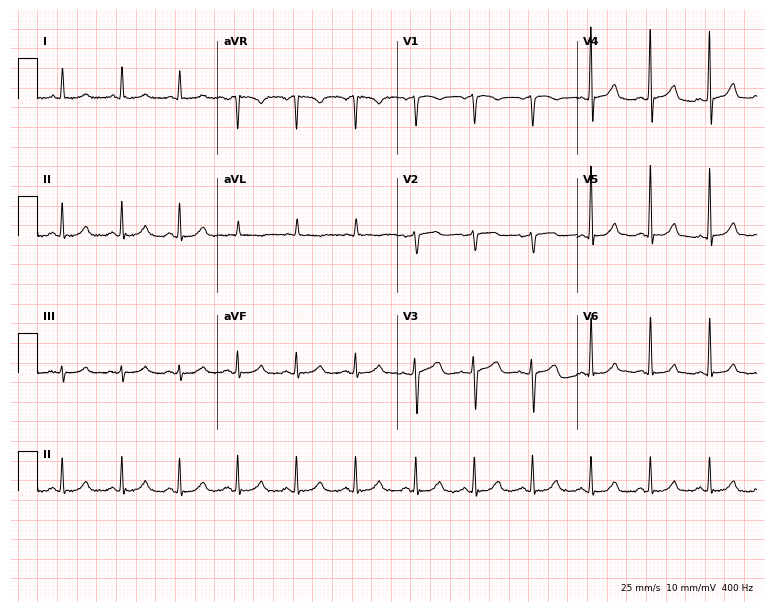
Resting 12-lead electrocardiogram (7.3-second recording at 400 Hz). Patient: a 53-year-old female. None of these six findings is recorded: first-degree AV block, right bundle branch block (RBBB), left bundle branch block (LBBB), sinus bradycardia, atrial fibrillation (AF), sinus tachycardia. Findings outside these six are not listed.